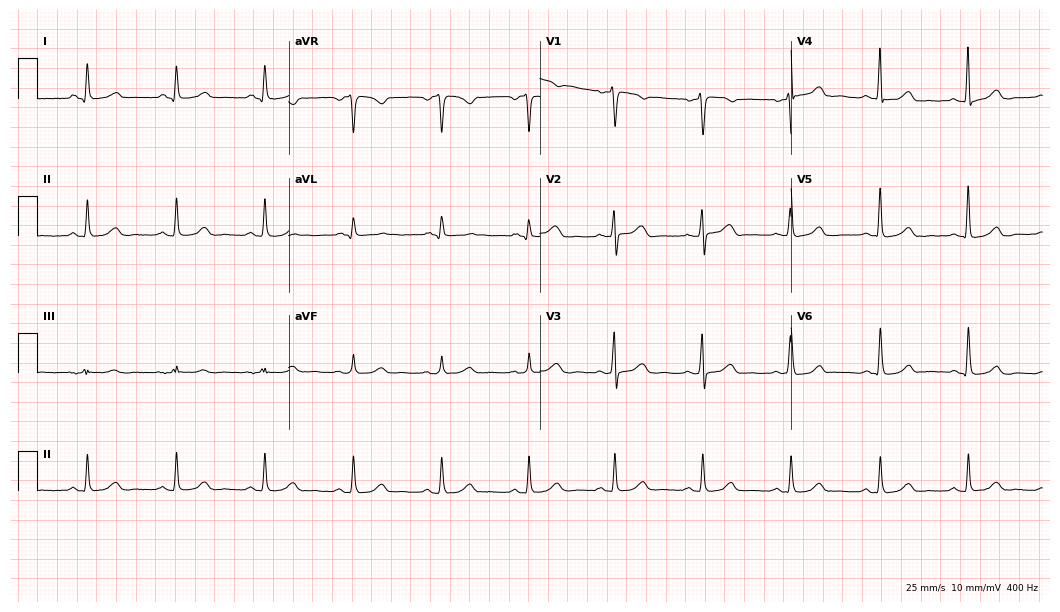
Electrocardiogram (10.2-second recording at 400 Hz), a female patient, 64 years old. Overall reading on record: normal ECG.